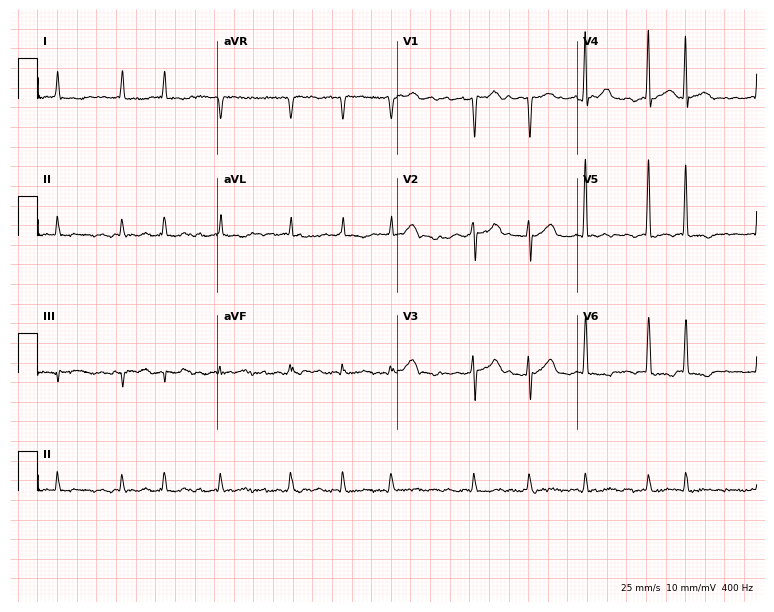
Standard 12-lead ECG recorded from an 81-year-old male patient (7.3-second recording at 400 Hz). The tracing shows atrial fibrillation (AF).